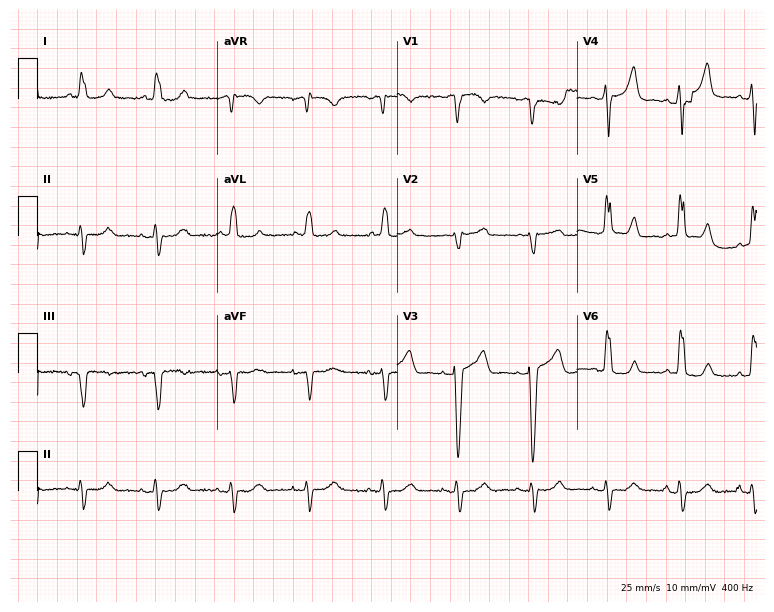
Resting 12-lead electrocardiogram (7.3-second recording at 400 Hz). Patient: a female, 85 years old. None of these six findings is recorded: first-degree AV block, right bundle branch block (RBBB), left bundle branch block (LBBB), sinus bradycardia, atrial fibrillation (AF), sinus tachycardia. Findings outside these six are not listed.